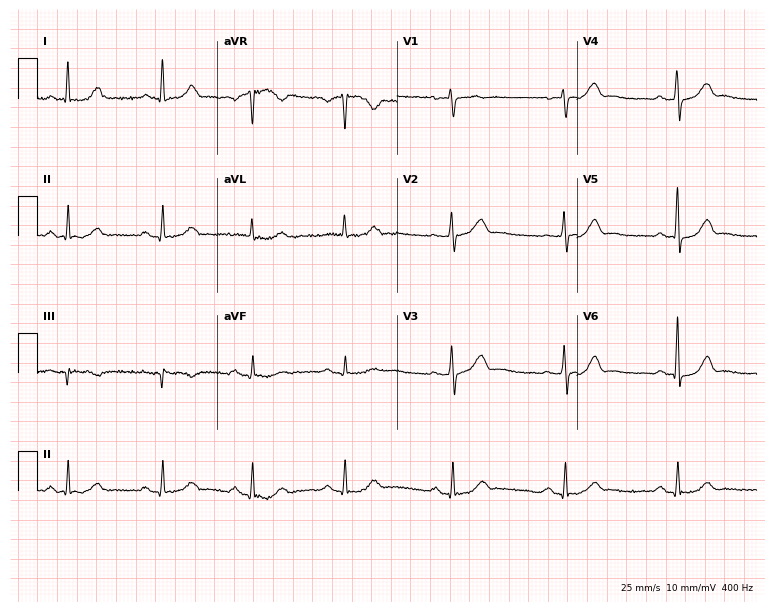
12-lead ECG from a woman, 51 years old (7.3-second recording at 400 Hz). Recorded interpretation: within normal limits.